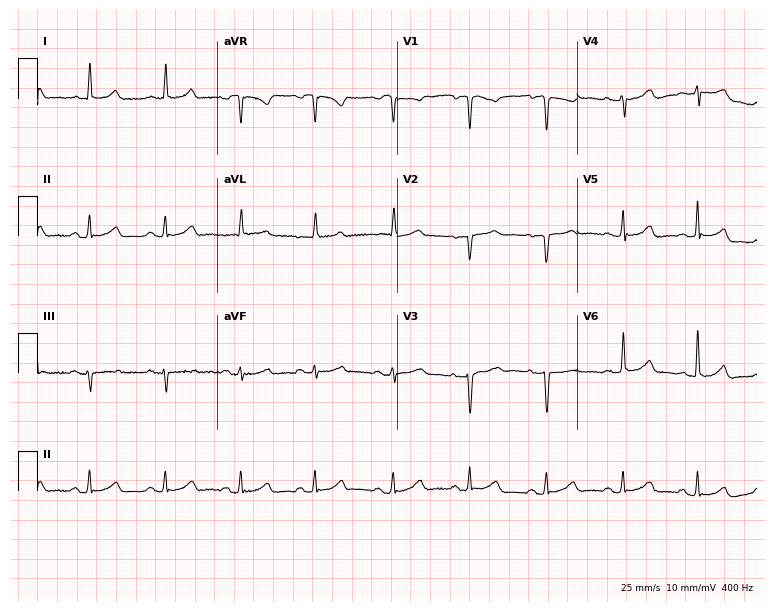
Standard 12-lead ECG recorded from a 49-year-old woman (7.3-second recording at 400 Hz). None of these six findings is recorded: first-degree AV block, right bundle branch block, left bundle branch block, sinus bradycardia, atrial fibrillation, sinus tachycardia.